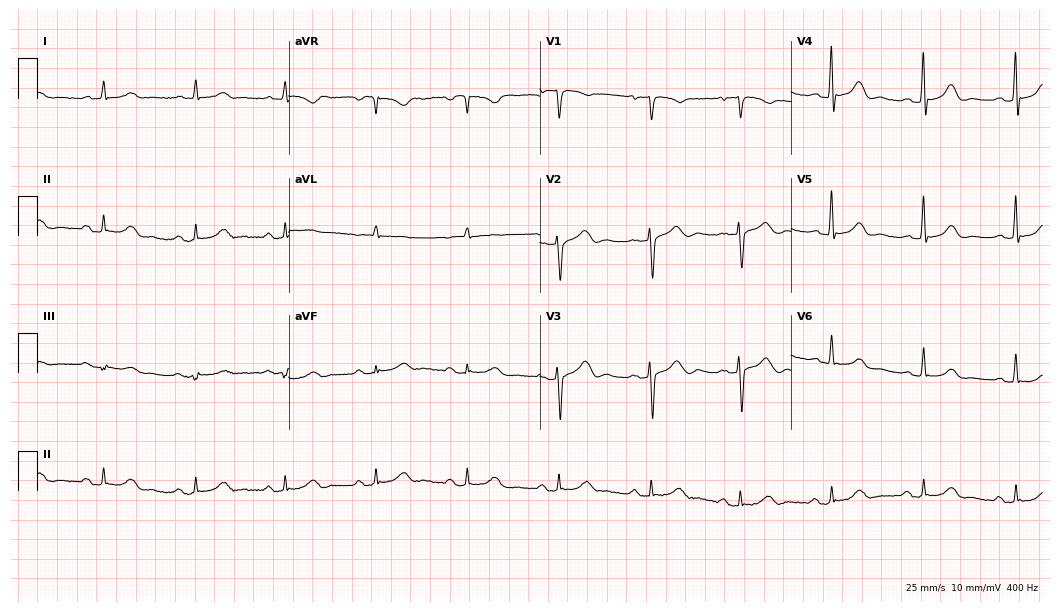
Standard 12-lead ECG recorded from a female, 80 years old (10.2-second recording at 400 Hz). None of these six findings is recorded: first-degree AV block, right bundle branch block, left bundle branch block, sinus bradycardia, atrial fibrillation, sinus tachycardia. Other findings, if any, are not listed.